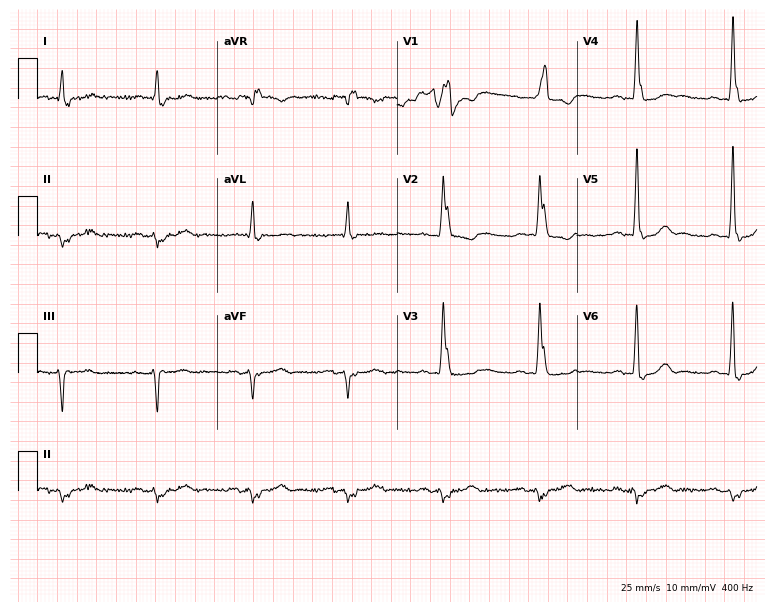
Electrocardiogram (7.3-second recording at 400 Hz), a 79-year-old woman. Interpretation includes right bundle branch block.